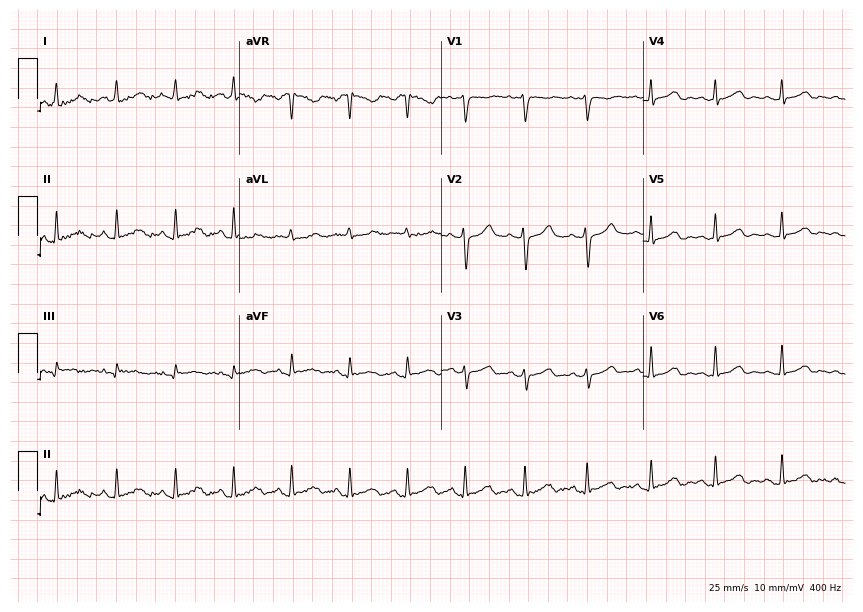
ECG — a 26-year-old female. Screened for six findings — first-degree AV block, right bundle branch block (RBBB), left bundle branch block (LBBB), sinus bradycardia, atrial fibrillation (AF), sinus tachycardia — none is recorded. Only these six findings were labelled.